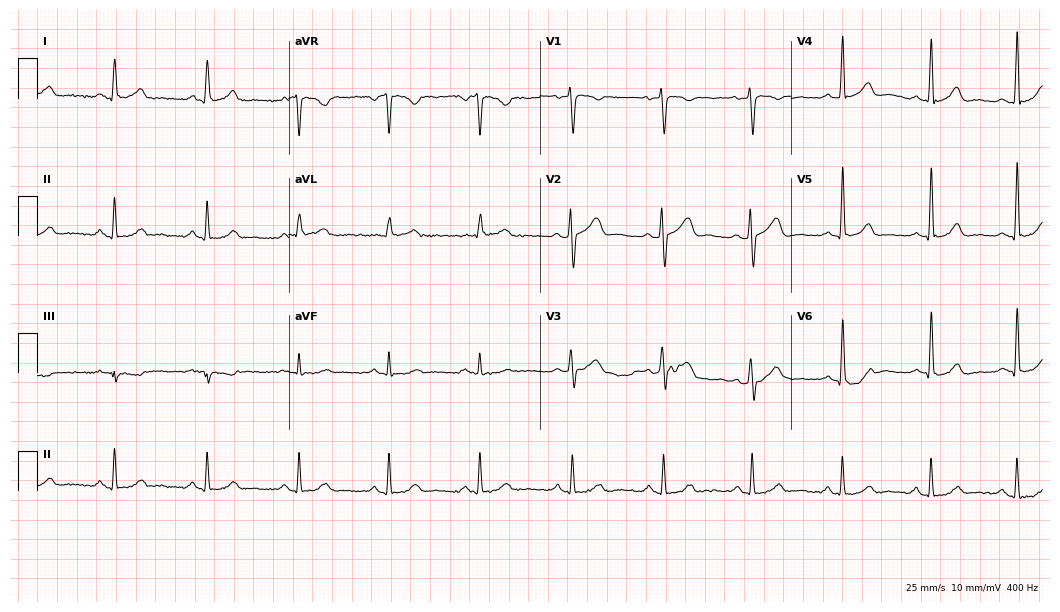
ECG (10.2-second recording at 400 Hz) — a female, 46 years old. Labelled as a normal ECG.